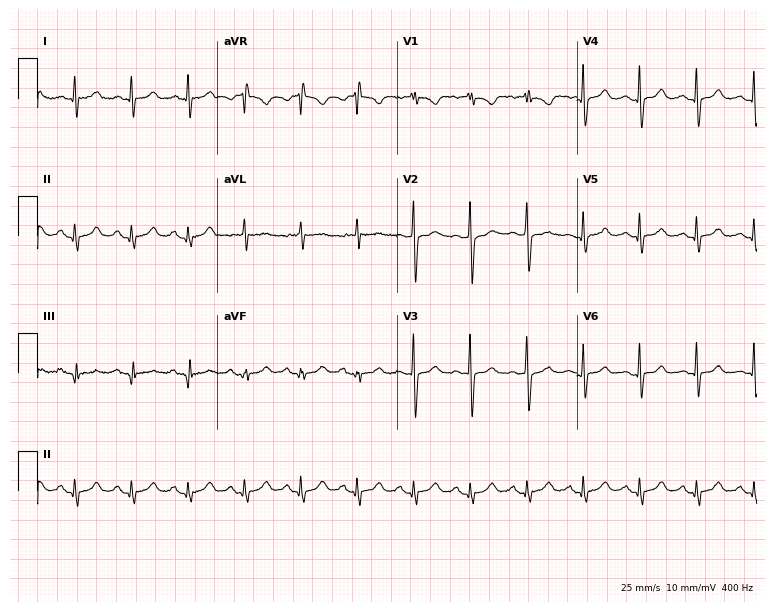
Standard 12-lead ECG recorded from a 50-year-old female (7.3-second recording at 400 Hz). The tracing shows sinus tachycardia (a sinus rate of 100 beats per minute or more).